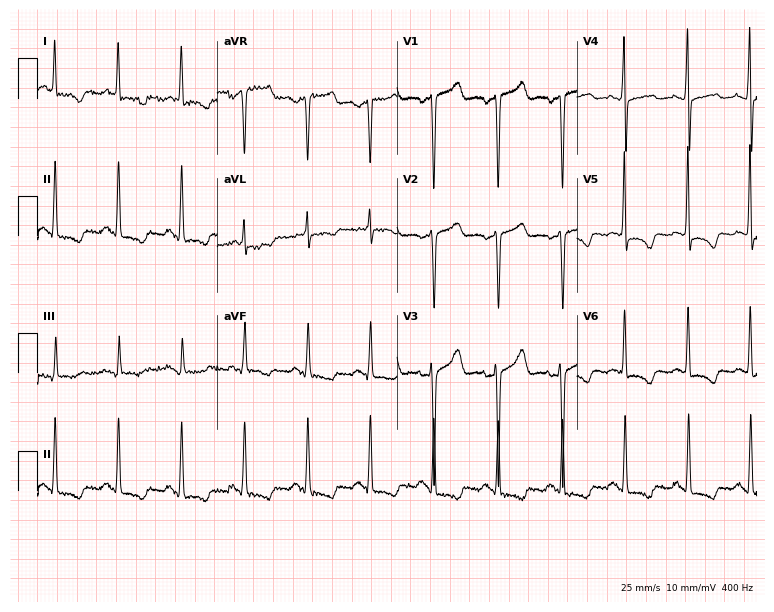
ECG (7.3-second recording at 400 Hz) — a female patient, 67 years old. Screened for six findings — first-degree AV block, right bundle branch block, left bundle branch block, sinus bradycardia, atrial fibrillation, sinus tachycardia — none is recorded. Other findings, if any, are not listed.